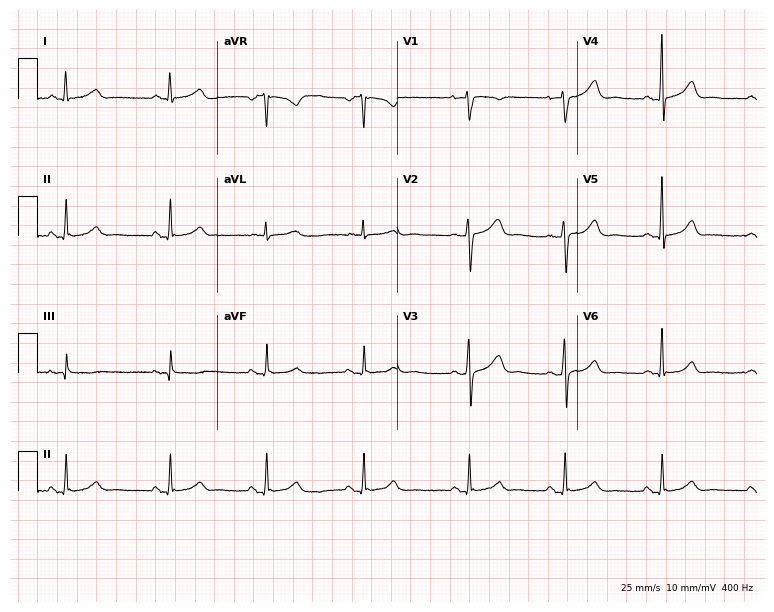
Standard 12-lead ECG recorded from a 36-year-old woman (7.3-second recording at 400 Hz). None of these six findings is recorded: first-degree AV block, right bundle branch block, left bundle branch block, sinus bradycardia, atrial fibrillation, sinus tachycardia.